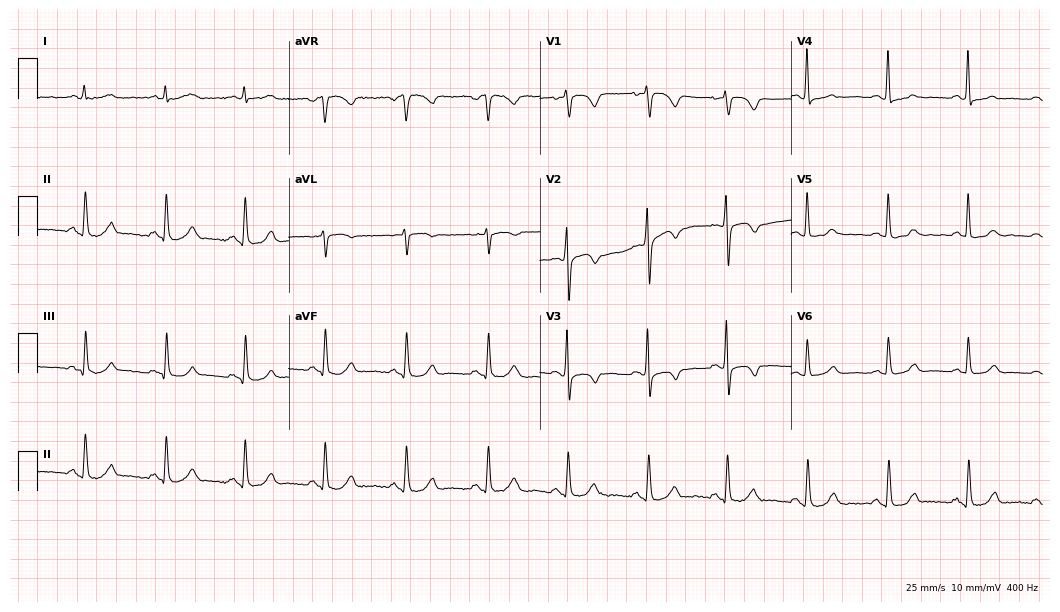
12-lead ECG from a 63-year-old woman. Screened for six findings — first-degree AV block, right bundle branch block (RBBB), left bundle branch block (LBBB), sinus bradycardia, atrial fibrillation (AF), sinus tachycardia — none is recorded. Other findings, if any, are not listed.